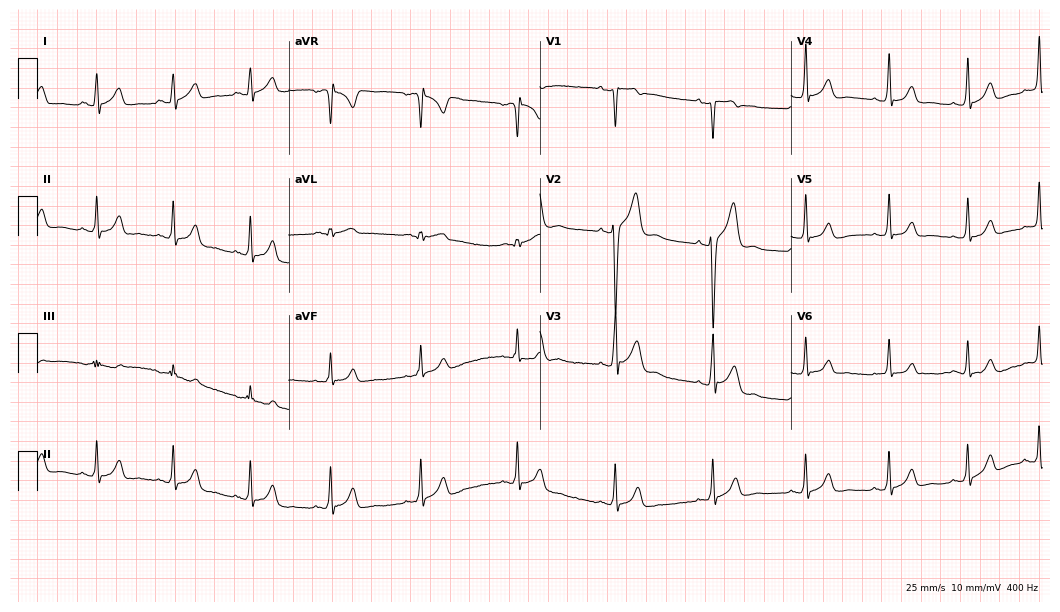
Electrocardiogram (10.2-second recording at 400 Hz), a male patient, 23 years old. Overall reading on record: normal ECG.